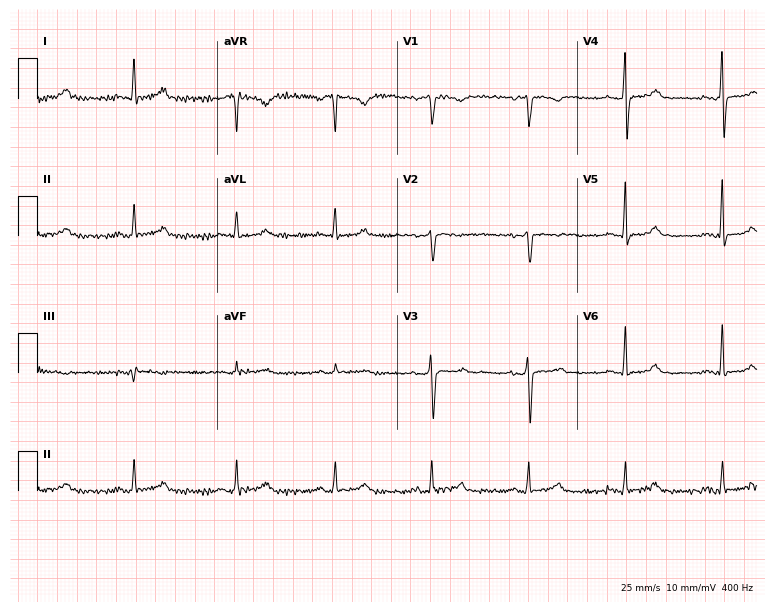
12-lead ECG from a woman, 63 years old. Screened for six findings — first-degree AV block, right bundle branch block (RBBB), left bundle branch block (LBBB), sinus bradycardia, atrial fibrillation (AF), sinus tachycardia — none is recorded.